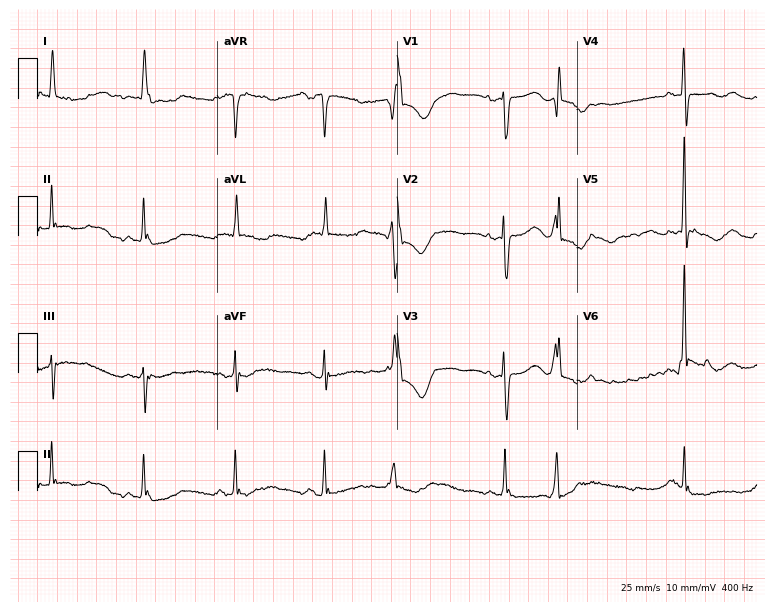
Standard 12-lead ECG recorded from a woman, 83 years old. None of these six findings is recorded: first-degree AV block, right bundle branch block (RBBB), left bundle branch block (LBBB), sinus bradycardia, atrial fibrillation (AF), sinus tachycardia.